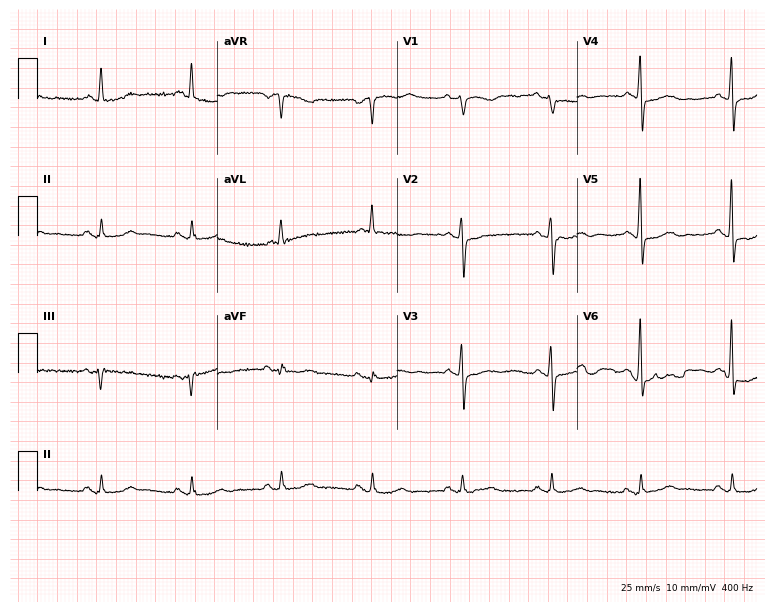
Standard 12-lead ECG recorded from a woman, 60 years old (7.3-second recording at 400 Hz). None of these six findings is recorded: first-degree AV block, right bundle branch block, left bundle branch block, sinus bradycardia, atrial fibrillation, sinus tachycardia.